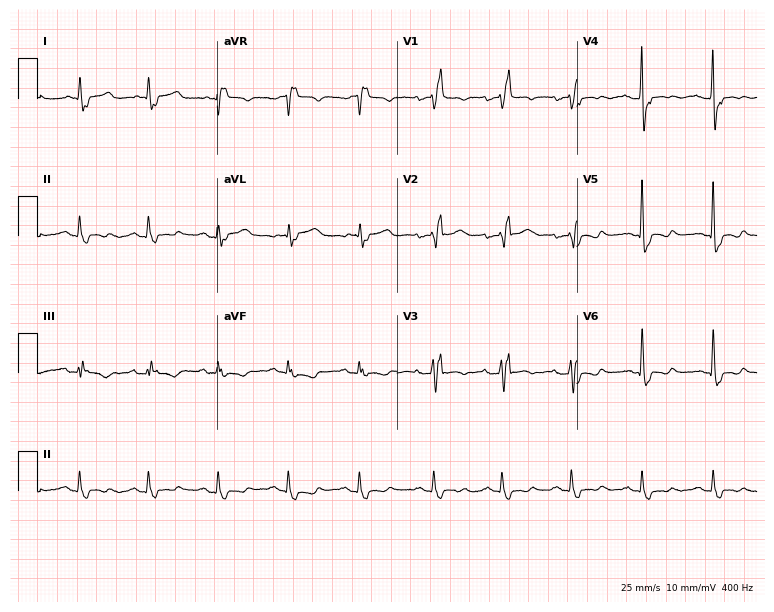
12-lead ECG from a 75-year-old female (7.3-second recording at 400 Hz). Shows right bundle branch block.